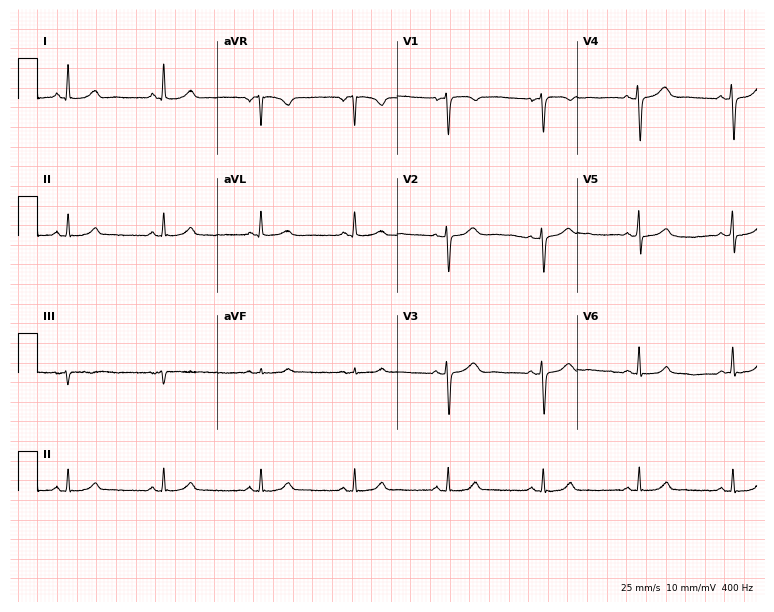
12-lead ECG (7.3-second recording at 400 Hz) from a female patient, 41 years old. Screened for six findings — first-degree AV block, right bundle branch block (RBBB), left bundle branch block (LBBB), sinus bradycardia, atrial fibrillation (AF), sinus tachycardia — none is recorded. Other findings, if any, are not listed.